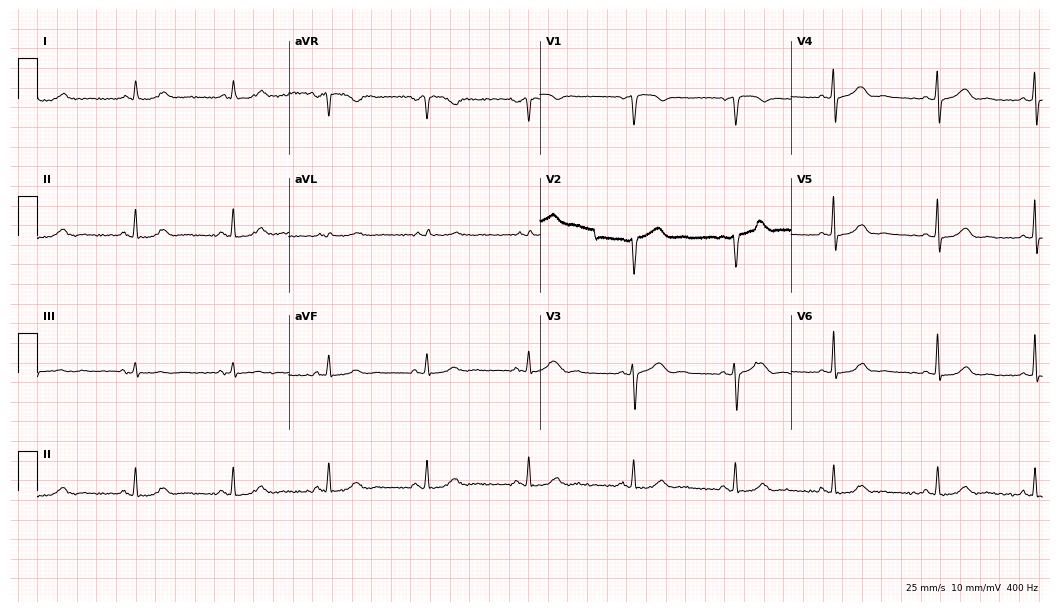
12-lead ECG from a 54-year-old woman. Labelled as a normal ECG.